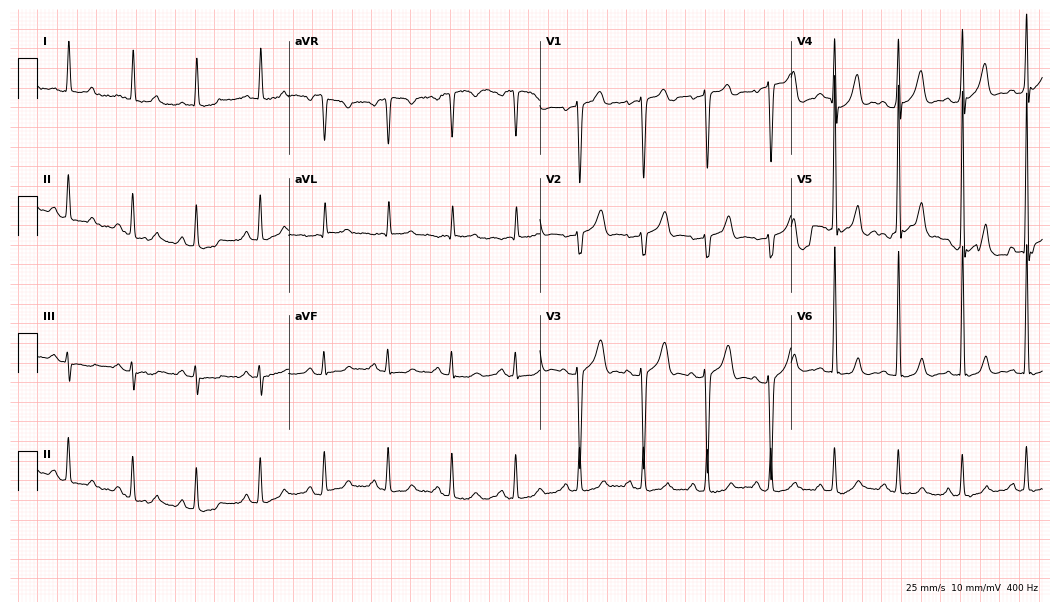
Standard 12-lead ECG recorded from a male, 61 years old. Read as a normal ECG.